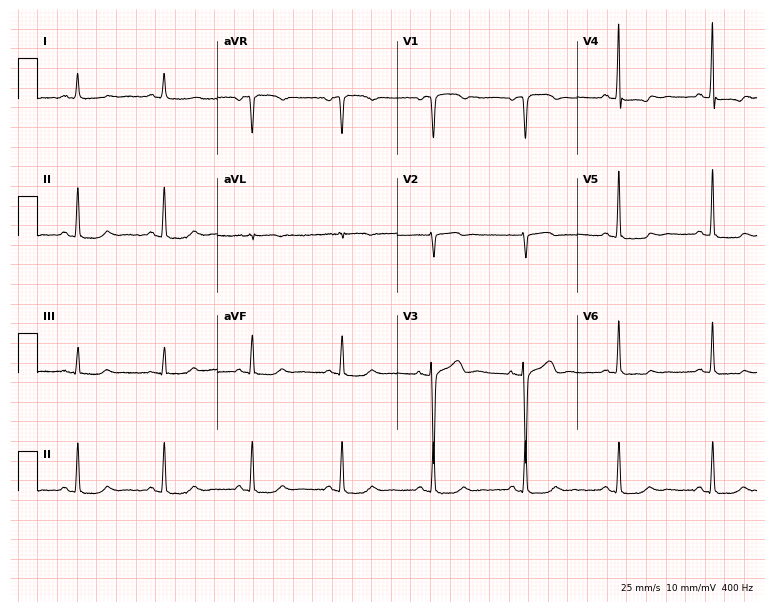
Resting 12-lead electrocardiogram. Patient: a male, 76 years old. None of these six findings is recorded: first-degree AV block, right bundle branch block, left bundle branch block, sinus bradycardia, atrial fibrillation, sinus tachycardia. Other findings, if any, are not listed.